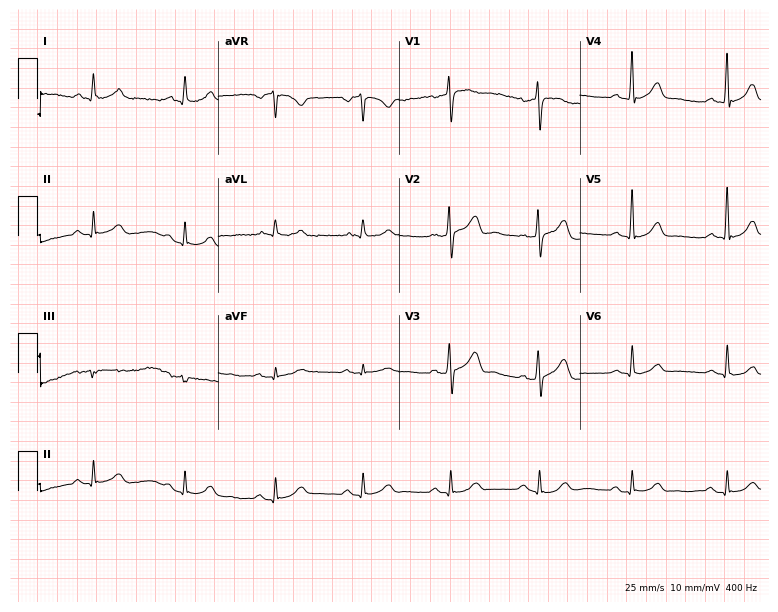
ECG — a male patient, 66 years old. Screened for six findings — first-degree AV block, right bundle branch block, left bundle branch block, sinus bradycardia, atrial fibrillation, sinus tachycardia — none is recorded.